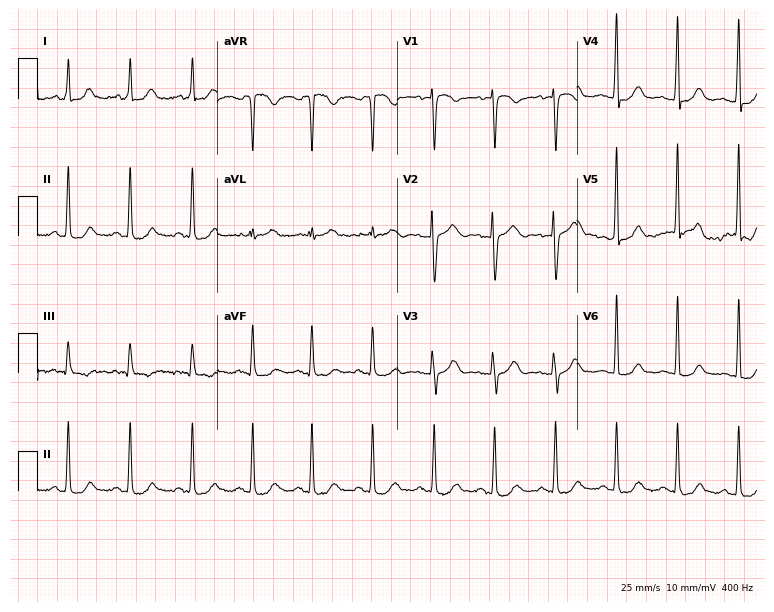
Resting 12-lead electrocardiogram. Patient: a 35-year-old female. None of these six findings is recorded: first-degree AV block, right bundle branch block, left bundle branch block, sinus bradycardia, atrial fibrillation, sinus tachycardia. Only these six findings were labelled.